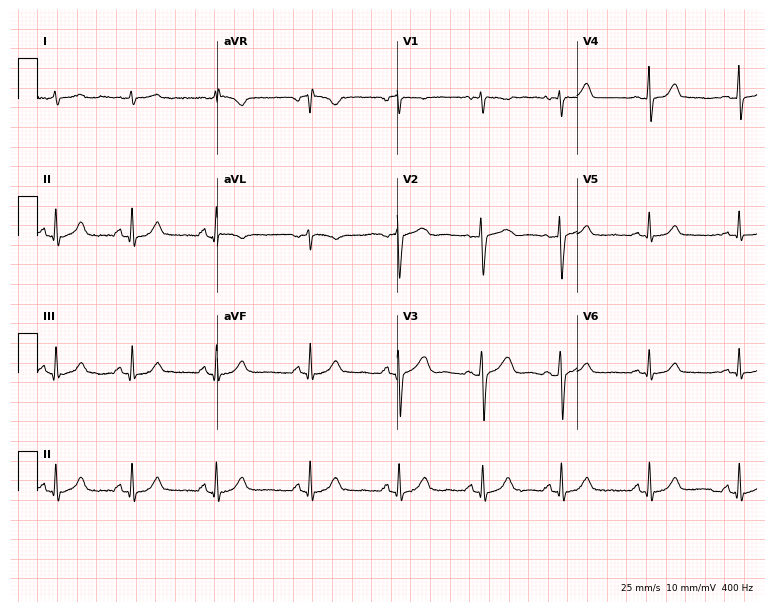
Resting 12-lead electrocardiogram (7.3-second recording at 400 Hz). Patient: a woman, 35 years old. None of these six findings is recorded: first-degree AV block, right bundle branch block, left bundle branch block, sinus bradycardia, atrial fibrillation, sinus tachycardia. Only these six findings were labelled.